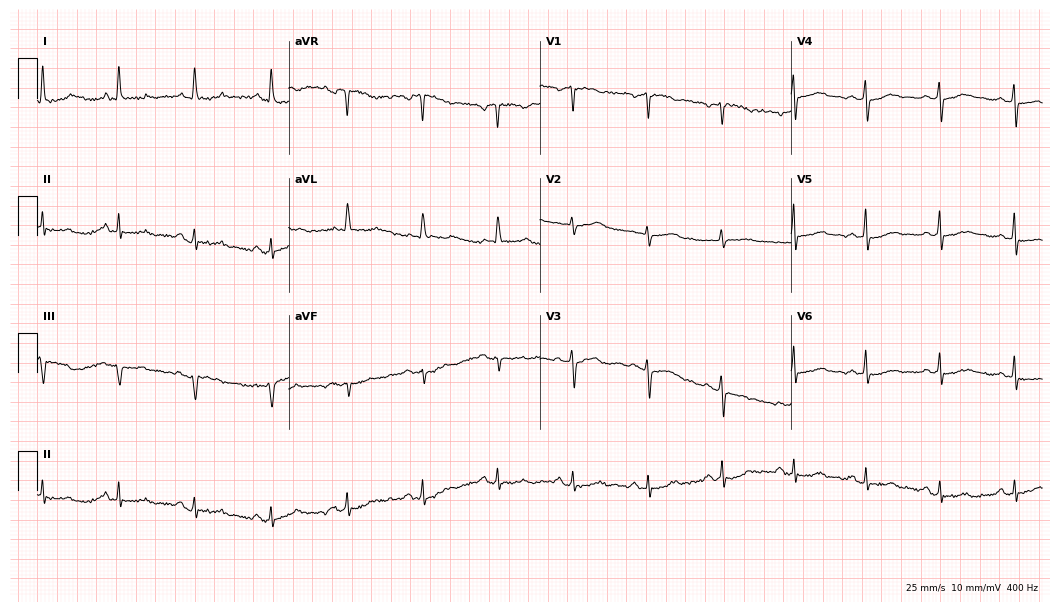
12-lead ECG from a man, 46 years old. Labelled as a normal ECG.